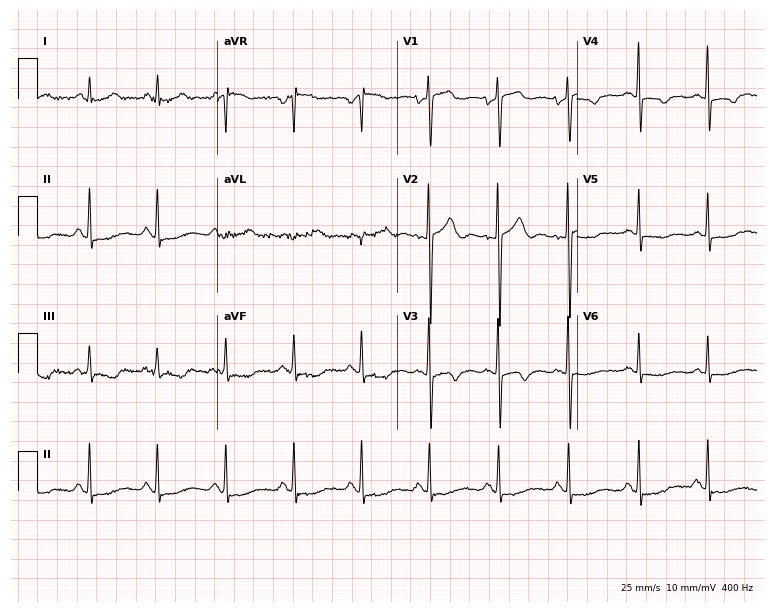
Electrocardiogram, a 37-year-old male. Of the six screened findings (first-degree AV block, right bundle branch block, left bundle branch block, sinus bradycardia, atrial fibrillation, sinus tachycardia), none is recorded. Only these six findings were labelled.